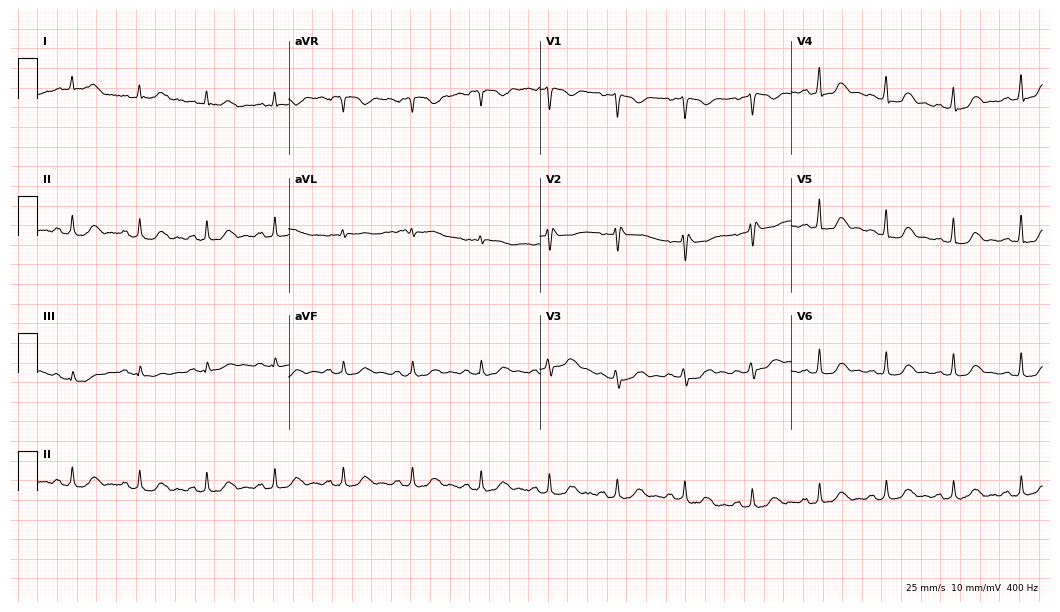
Electrocardiogram (10.2-second recording at 400 Hz), a woman, 56 years old. Of the six screened findings (first-degree AV block, right bundle branch block, left bundle branch block, sinus bradycardia, atrial fibrillation, sinus tachycardia), none is recorded.